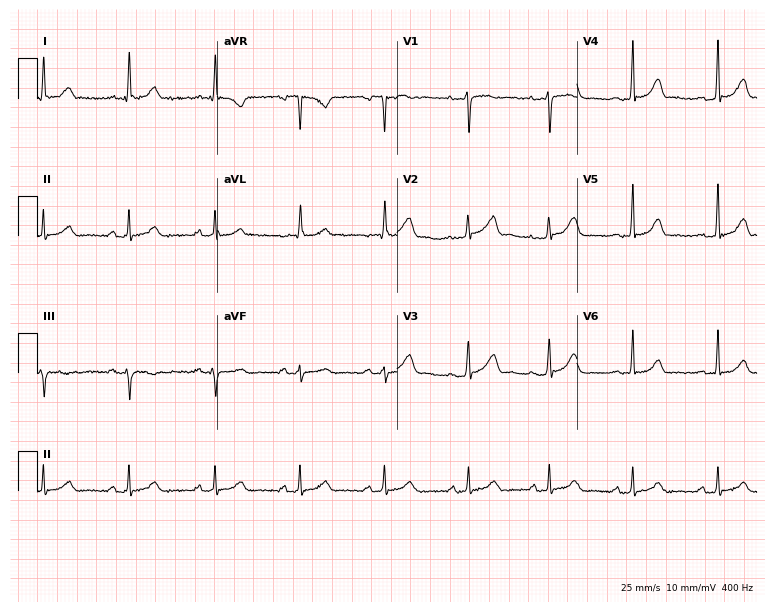
12-lead ECG from a 33-year-old female. Labelled as a normal ECG.